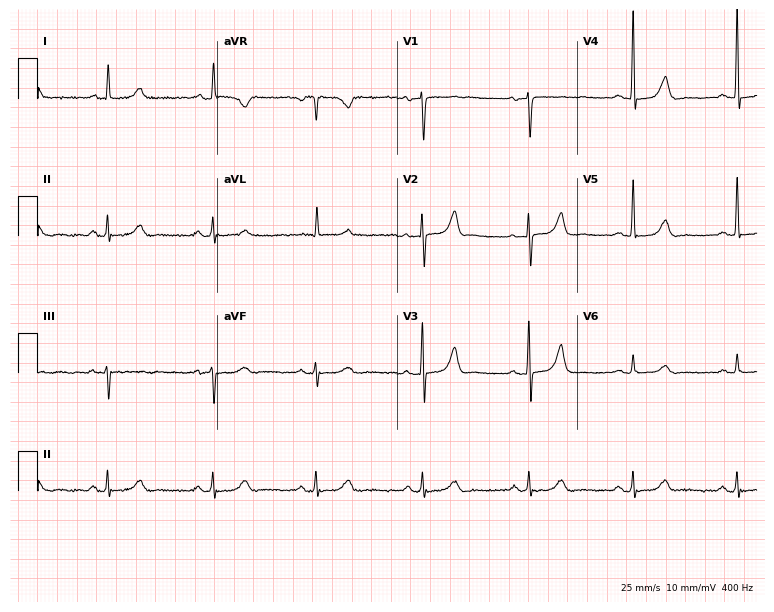
Electrocardiogram, an 80-year-old woman. Overall reading on record: normal ECG.